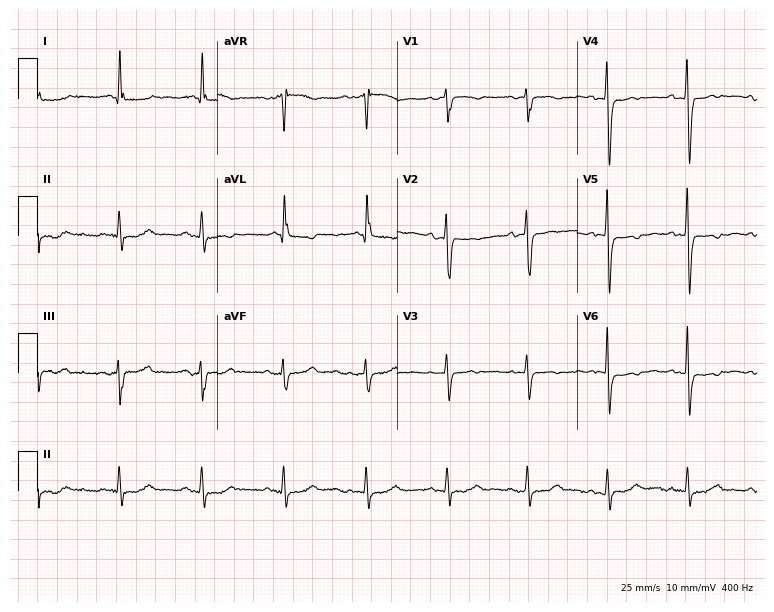
12-lead ECG from a female patient, 66 years old (7.3-second recording at 400 Hz). No first-degree AV block, right bundle branch block (RBBB), left bundle branch block (LBBB), sinus bradycardia, atrial fibrillation (AF) or sinus tachycardia recorded for this tracing.